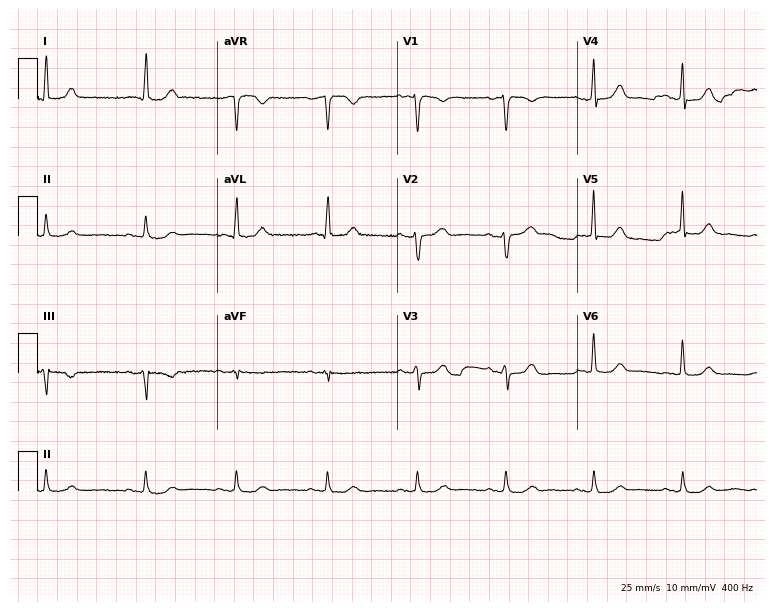
Standard 12-lead ECG recorded from an 81-year-old man. None of these six findings is recorded: first-degree AV block, right bundle branch block, left bundle branch block, sinus bradycardia, atrial fibrillation, sinus tachycardia.